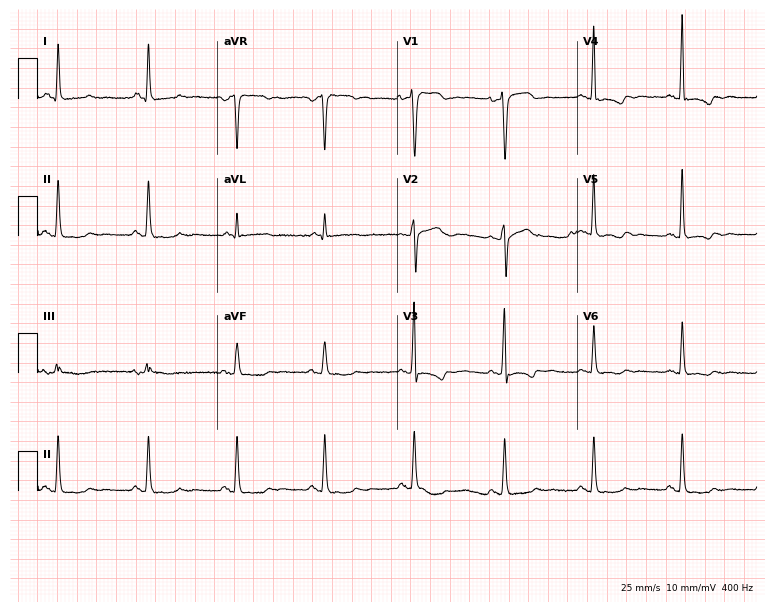
12-lead ECG (7.3-second recording at 400 Hz) from a female, 54 years old. Screened for six findings — first-degree AV block, right bundle branch block, left bundle branch block, sinus bradycardia, atrial fibrillation, sinus tachycardia — none is recorded. Other findings, if any, are not listed.